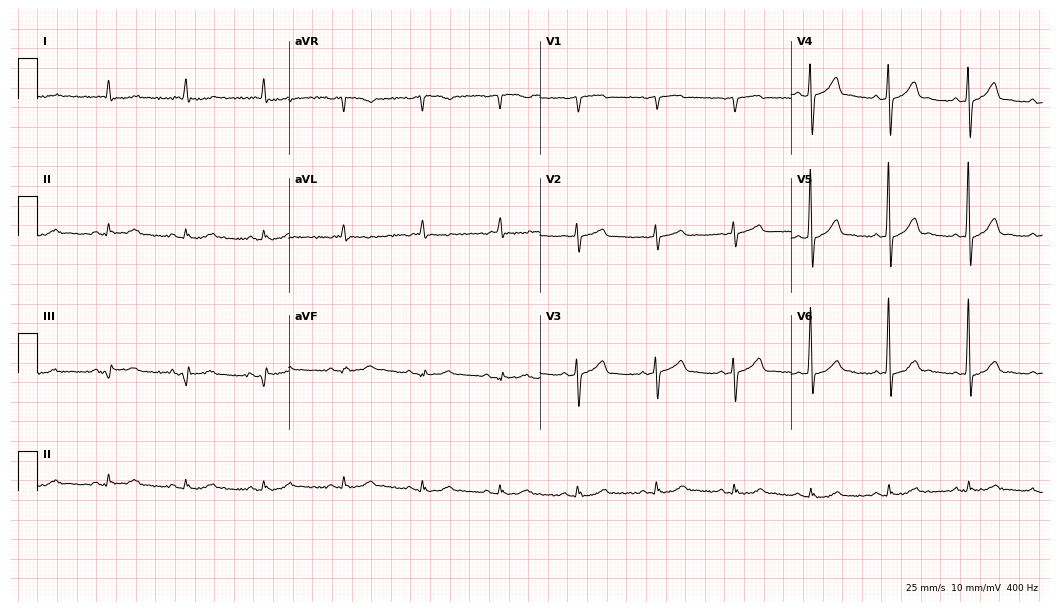
ECG — a 65-year-old male patient. Screened for six findings — first-degree AV block, right bundle branch block (RBBB), left bundle branch block (LBBB), sinus bradycardia, atrial fibrillation (AF), sinus tachycardia — none is recorded. Only these six findings were labelled.